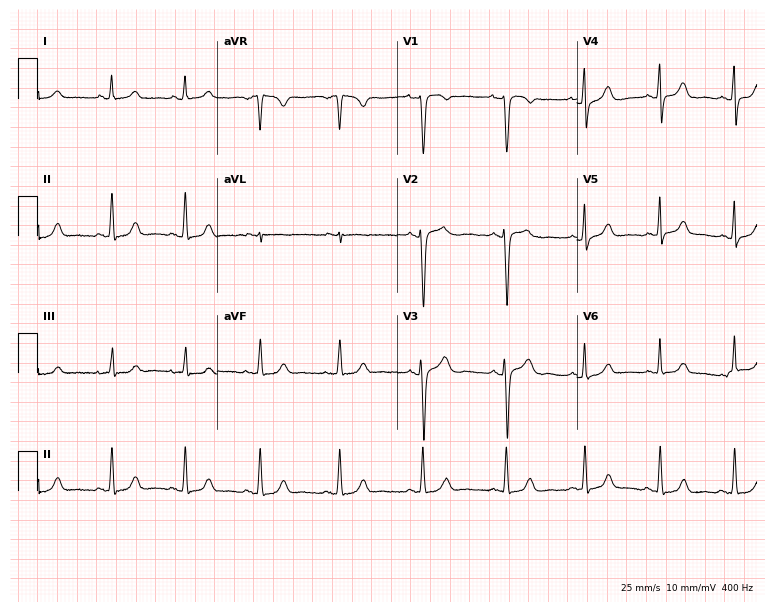
Resting 12-lead electrocardiogram (7.3-second recording at 400 Hz). Patient: a 17-year-old female. Read as a normal ECG.